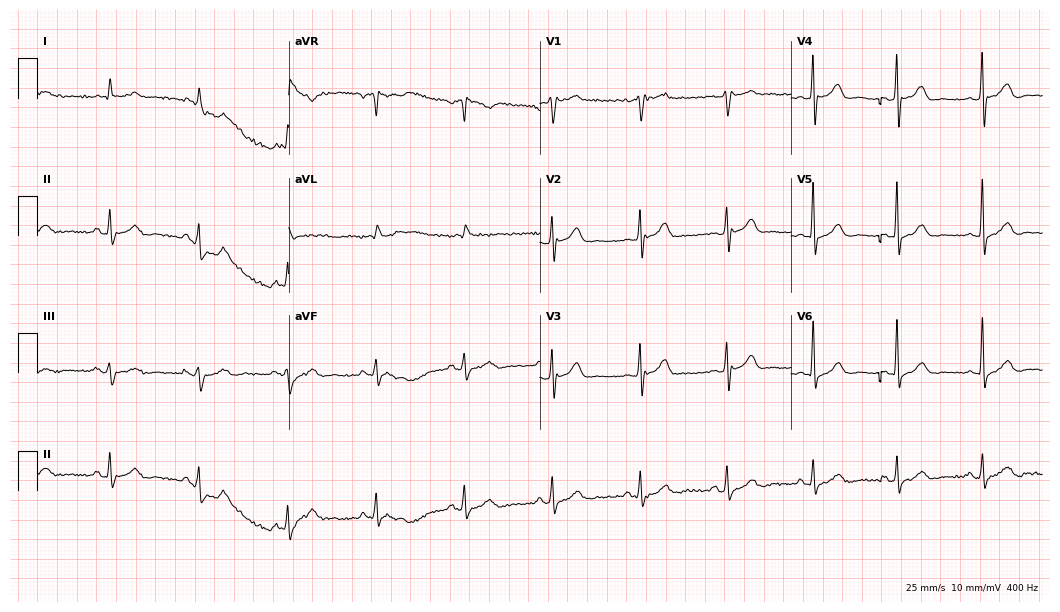
Electrocardiogram, a male, 70 years old. Of the six screened findings (first-degree AV block, right bundle branch block, left bundle branch block, sinus bradycardia, atrial fibrillation, sinus tachycardia), none is recorded. Findings outside these six are not listed.